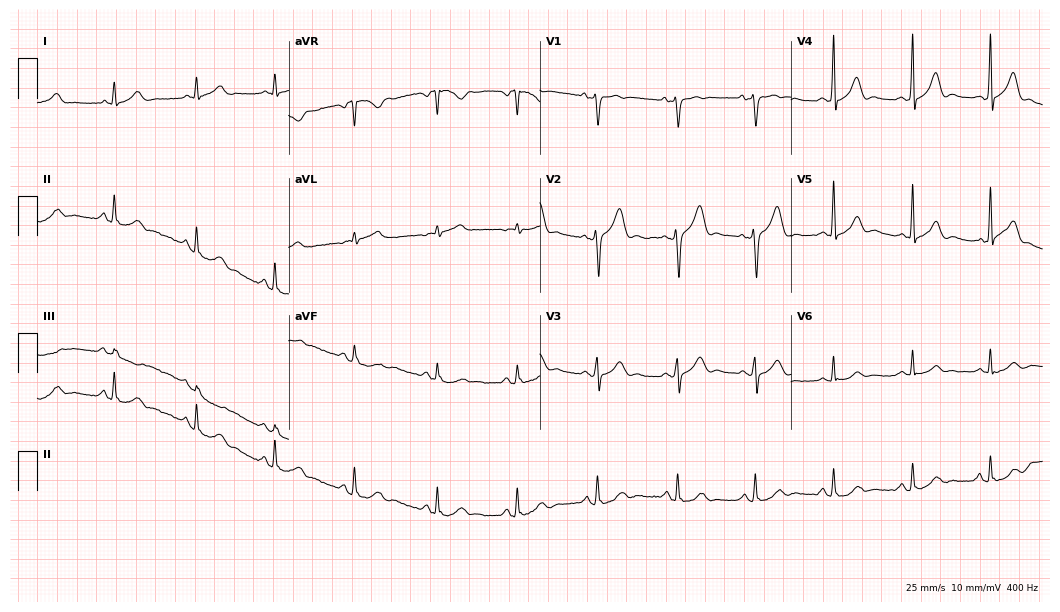
Resting 12-lead electrocardiogram (10.2-second recording at 400 Hz). Patient: a male, 42 years old. Read as a normal ECG.